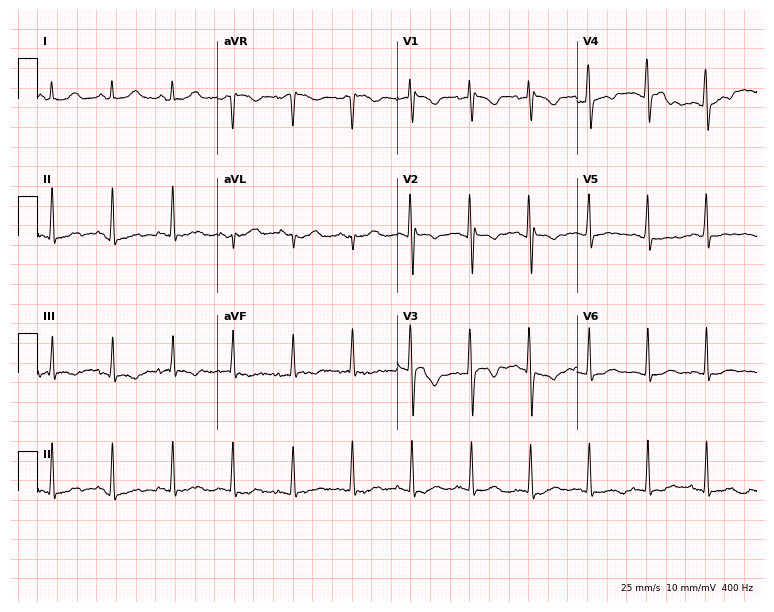
Electrocardiogram (7.3-second recording at 400 Hz), a 28-year-old woman. Of the six screened findings (first-degree AV block, right bundle branch block, left bundle branch block, sinus bradycardia, atrial fibrillation, sinus tachycardia), none is recorded. Other findings, if any, are not listed.